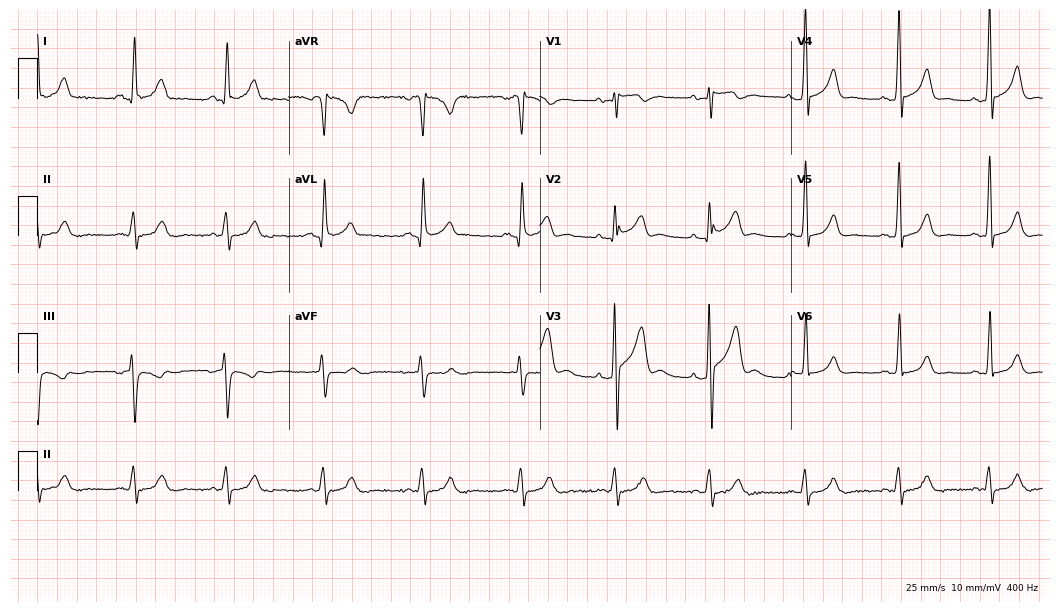
Resting 12-lead electrocardiogram (10.2-second recording at 400 Hz). Patient: a 40-year-old man. None of these six findings is recorded: first-degree AV block, right bundle branch block, left bundle branch block, sinus bradycardia, atrial fibrillation, sinus tachycardia. Other findings, if any, are not listed.